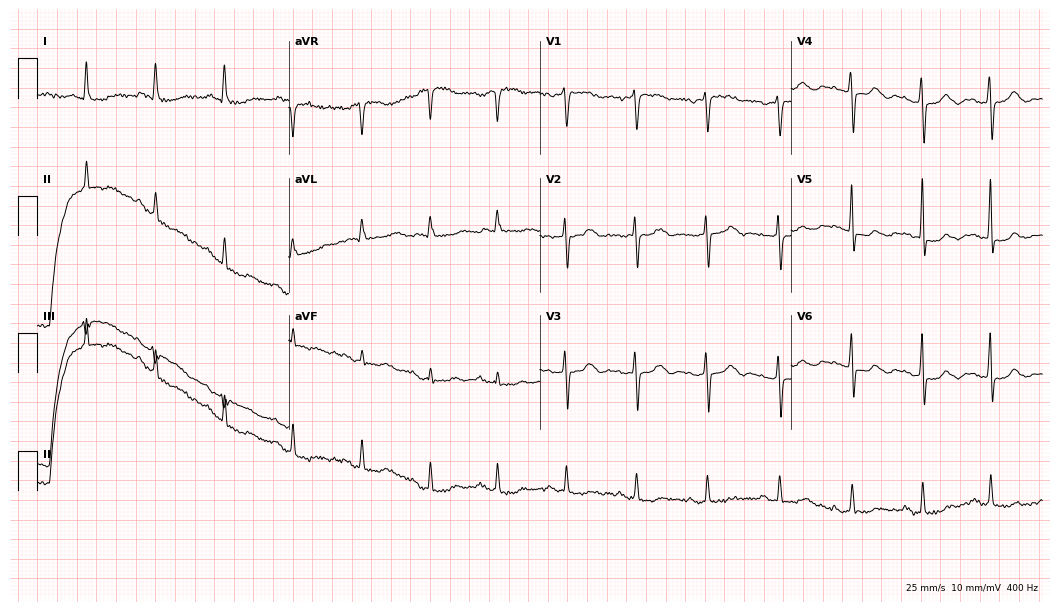
ECG (10.2-second recording at 400 Hz) — a female, 84 years old. Screened for six findings — first-degree AV block, right bundle branch block, left bundle branch block, sinus bradycardia, atrial fibrillation, sinus tachycardia — none is recorded. Only these six findings were labelled.